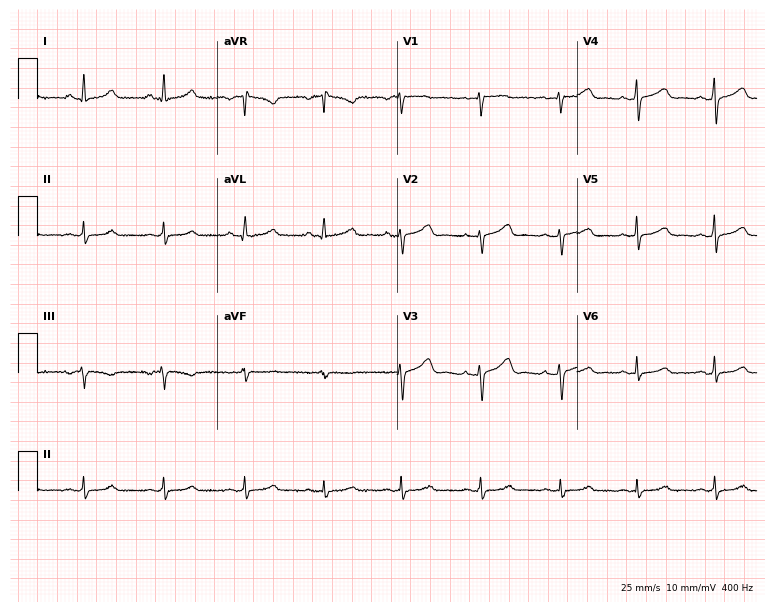
ECG — a 40-year-old female. Labelled as a normal ECG.